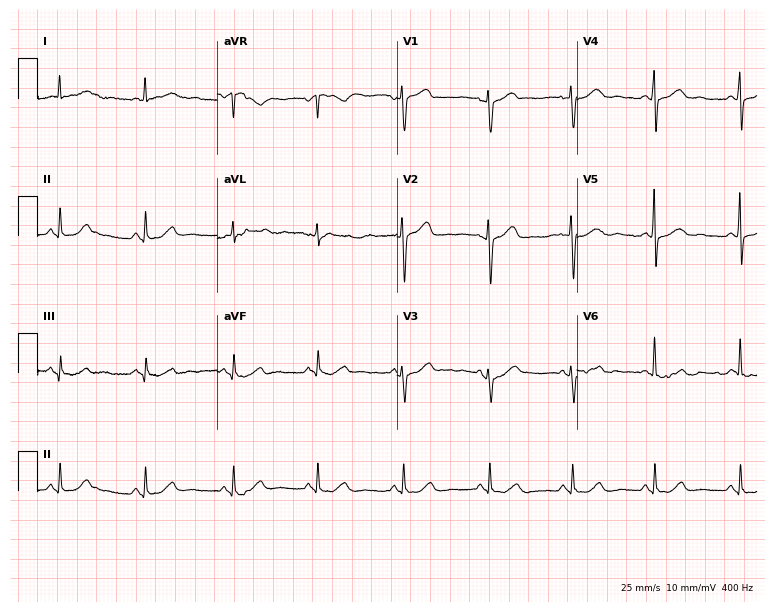
Electrocardiogram (7.3-second recording at 400 Hz), a woman, 59 years old. Overall reading on record: normal ECG.